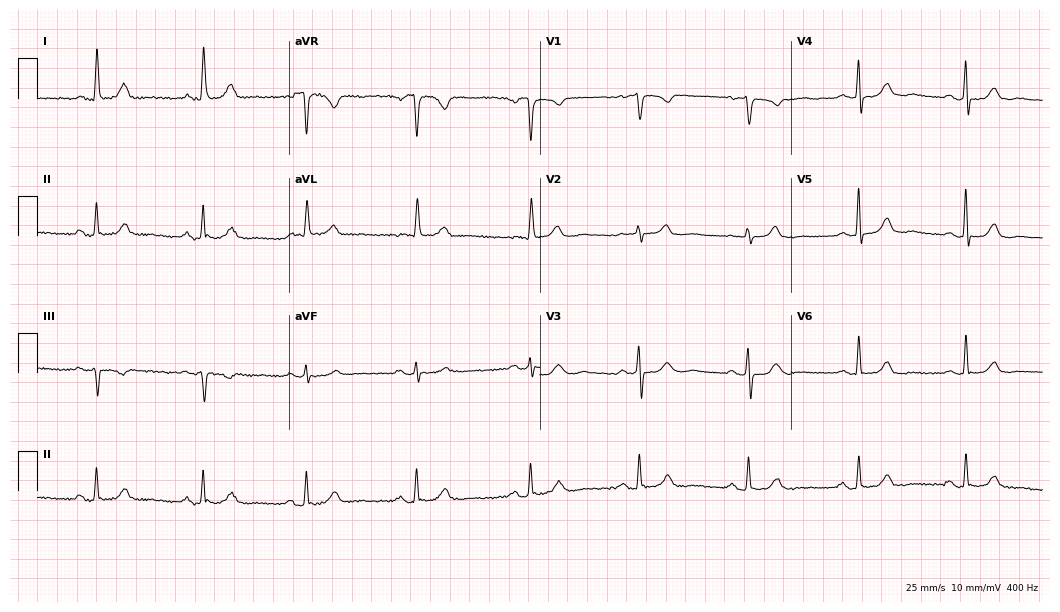
ECG (10.2-second recording at 400 Hz) — a 76-year-old female. Screened for six findings — first-degree AV block, right bundle branch block, left bundle branch block, sinus bradycardia, atrial fibrillation, sinus tachycardia — none is recorded.